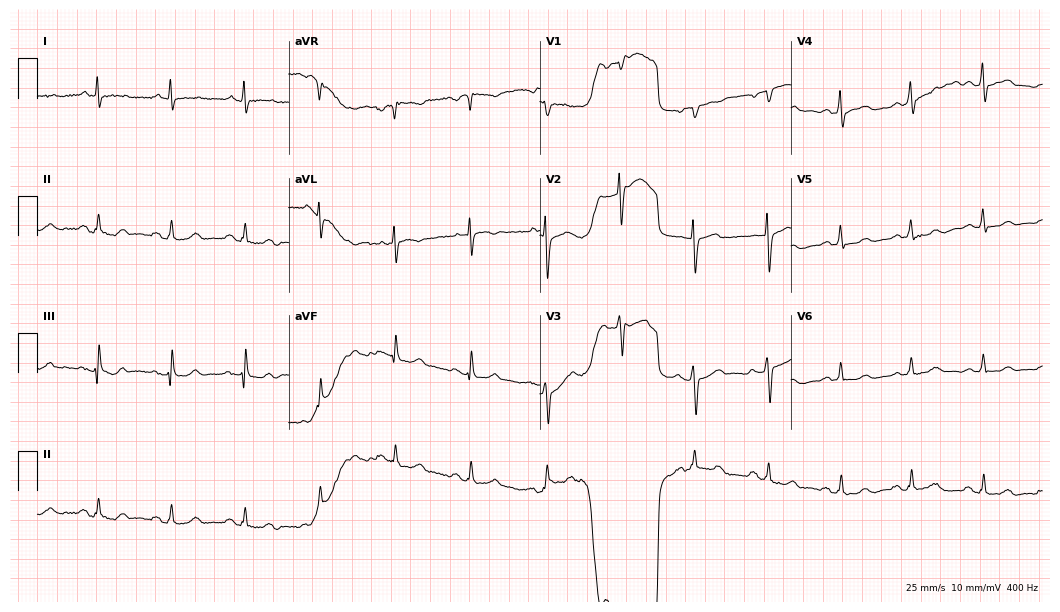
ECG — a 61-year-old male. Screened for six findings — first-degree AV block, right bundle branch block, left bundle branch block, sinus bradycardia, atrial fibrillation, sinus tachycardia — none is recorded.